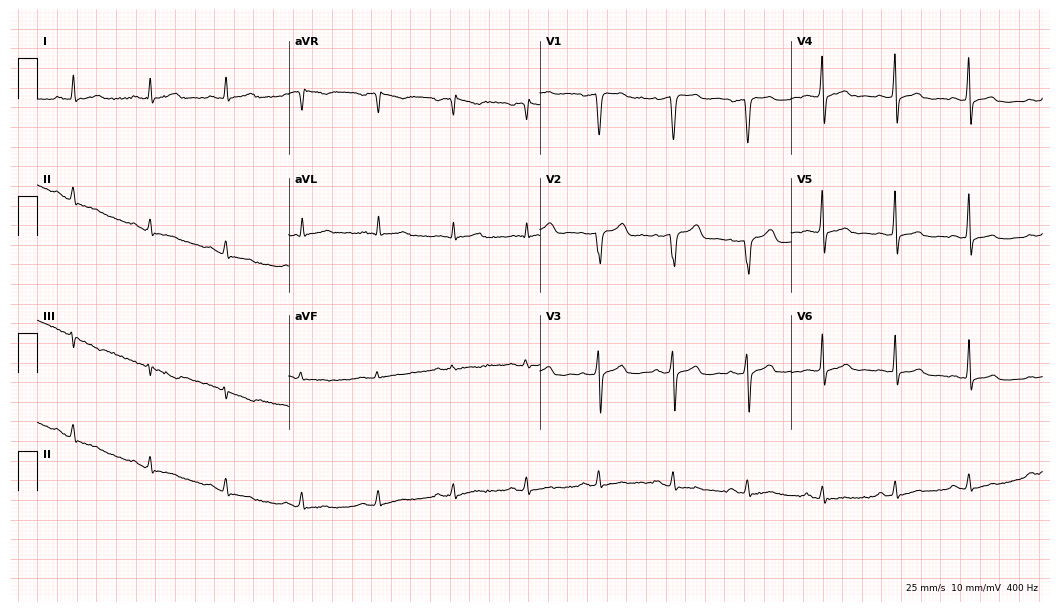
Electrocardiogram (10.2-second recording at 400 Hz), a 48-year-old male. Of the six screened findings (first-degree AV block, right bundle branch block (RBBB), left bundle branch block (LBBB), sinus bradycardia, atrial fibrillation (AF), sinus tachycardia), none is recorded.